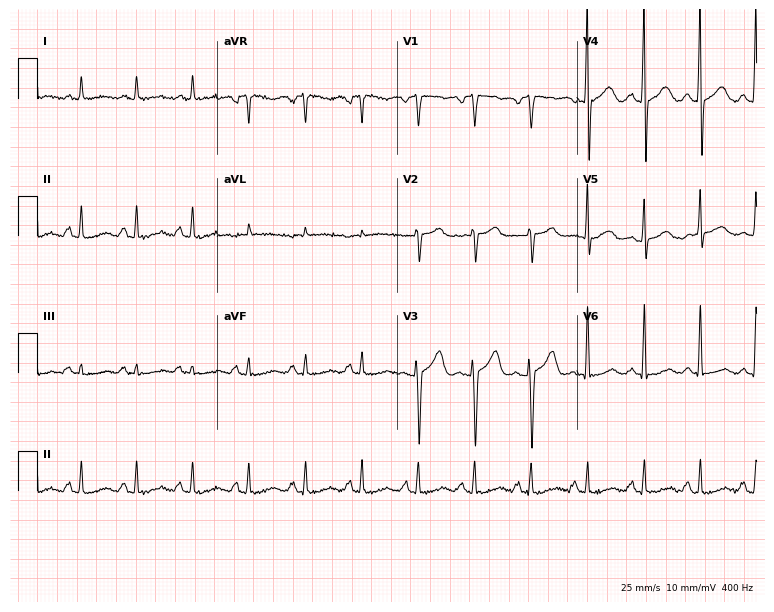
Resting 12-lead electrocardiogram. Patient: a female, 75 years old. None of these six findings is recorded: first-degree AV block, right bundle branch block, left bundle branch block, sinus bradycardia, atrial fibrillation, sinus tachycardia.